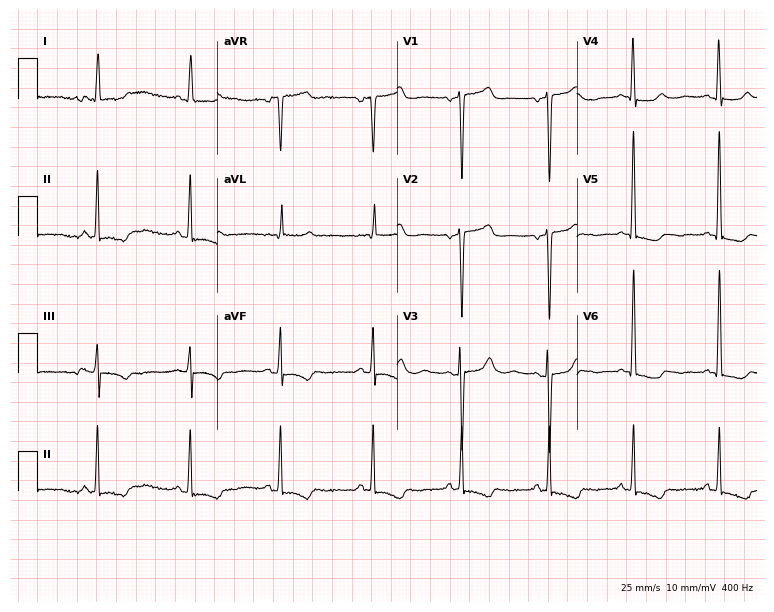
Resting 12-lead electrocardiogram (7.3-second recording at 400 Hz). Patient: a woman, 80 years old. None of these six findings is recorded: first-degree AV block, right bundle branch block, left bundle branch block, sinus bradycardia, atrial fibrillation, sinus tachycardia. Other findings, if any, are not listed.